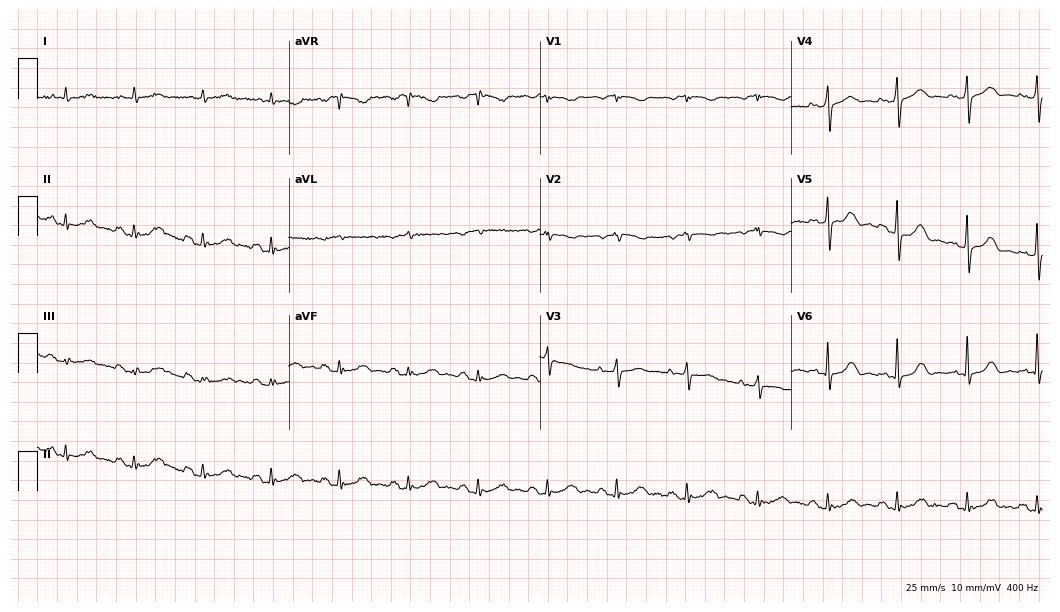
Electrocardiogram (10.2-second recording at 400 Hz), a female patient, 85 years old. Of the six screened findings (first-degree AV block, right bundle branch block (RBBB), left bundle branch block (LBBB), sinus bradycardia, atrial fibrillation (AF), sinus tachycardia), none is recorded. Findings outside these six are not listed.